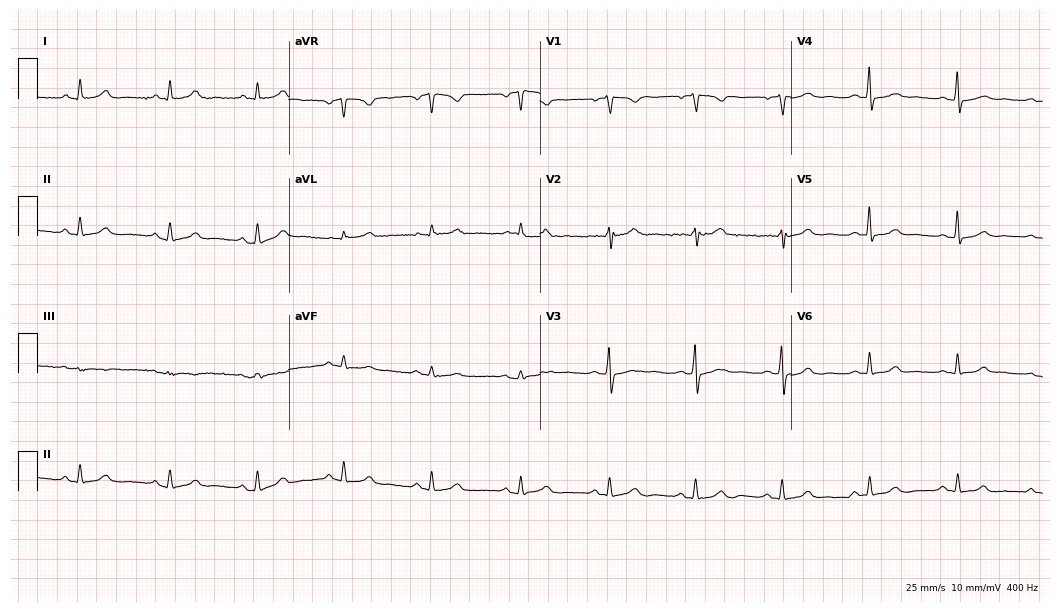
Resting 12-lead electrocardiogram. Patient: a 57-year-old female. Read as a normal ECG.